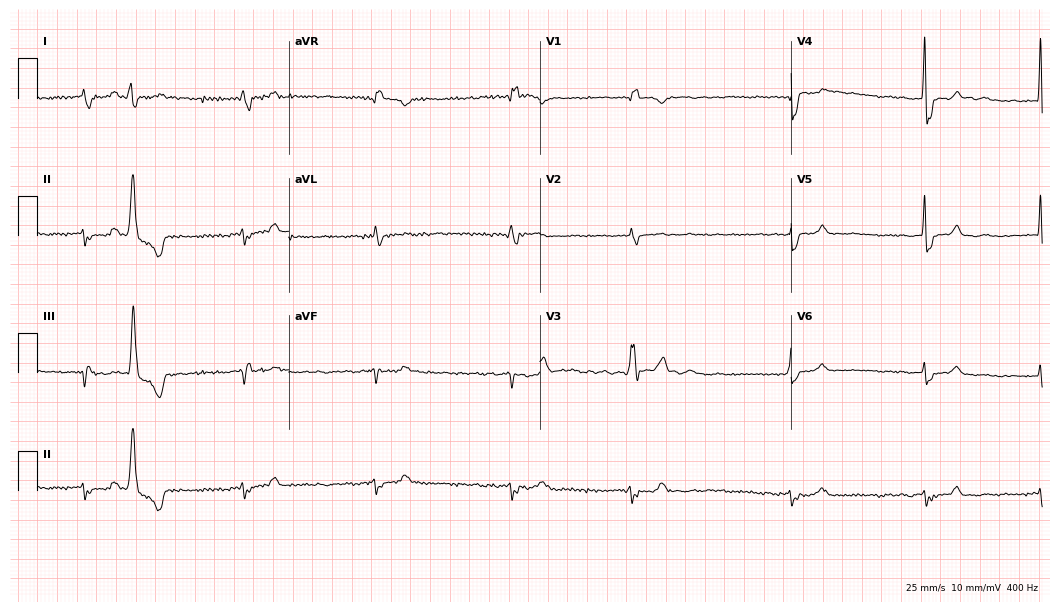
12-lead ECG from a male, 81 years old. No first-degree AV block, right bundle branch block, left bundle branch block, sinus bradycardia, atrial fibrillation or sinus tachycardia recorded for this tracing.